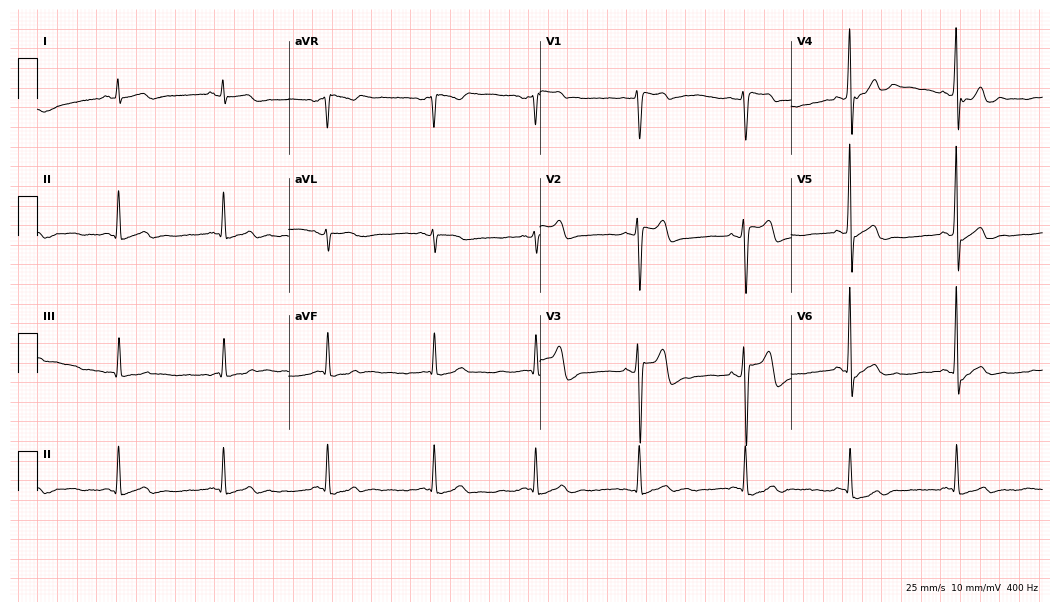
12-lead ECG from a 47-year-old male. Recorded interpretation: within normal limits.